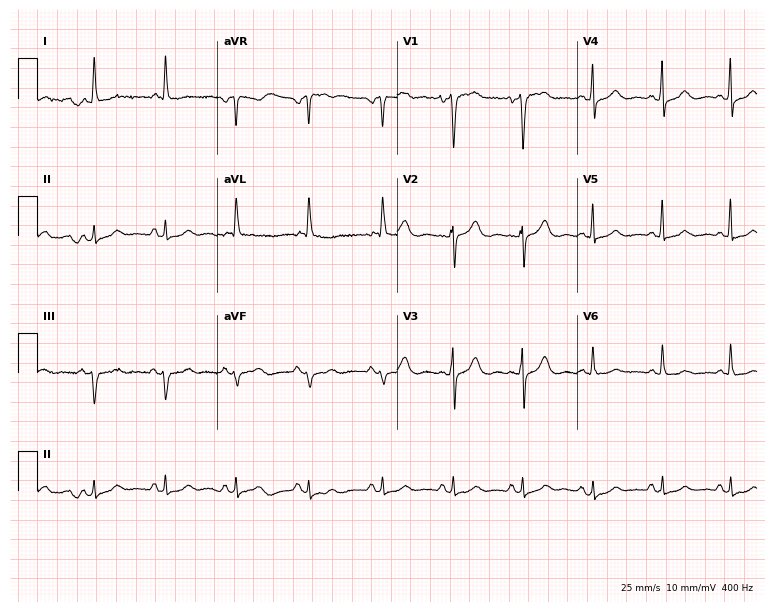
12-lead ECG (7.3-second recording at 400 Hz) from a woman, 81 years old. Screened for six findings — first-degree AV block, right bundle branch block, left bundle branch block, sinus bradycardia, atrial fibrillation, sinus tachycardia — none is recorded. Only these six findings were labelled.